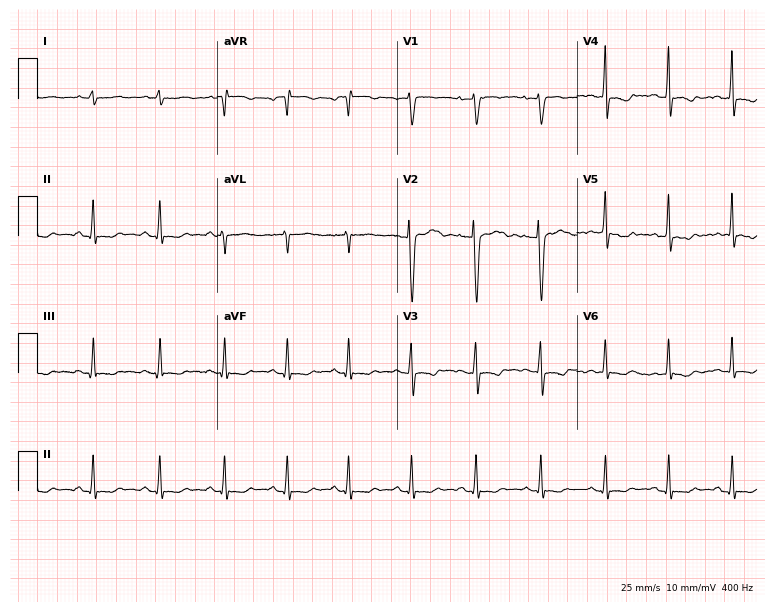
Resting 12-lead electrocardiogram. Patient: a 20-year-old female. None of these six findings is recorded: first-degree AV block, right bundle branch block, left bundle branch block, sinus bradycardia, atrial fibrillation, sinus tachycardia.